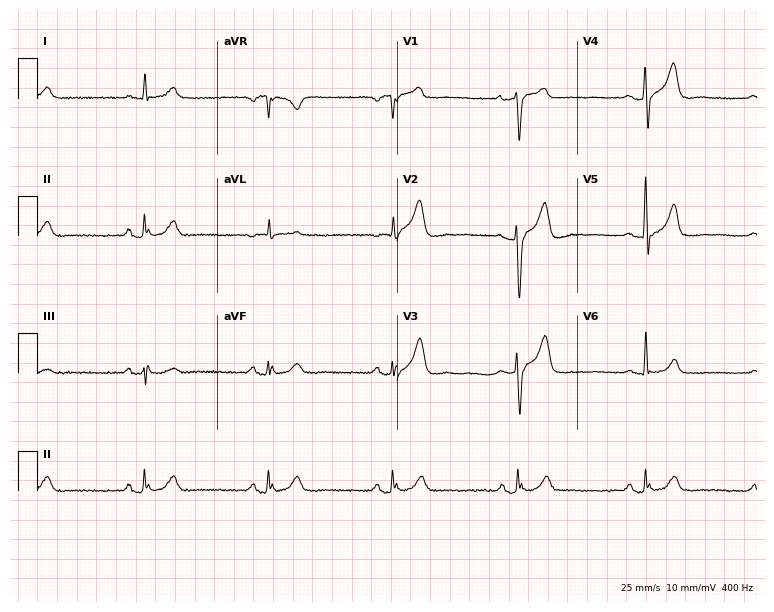
Electrocardiogram (7.3-second recording at 400 Hz), a male patient, 57 years old. Interpretation includes sinus bradycardia (a sinus rate of 50 beats per minute or less).